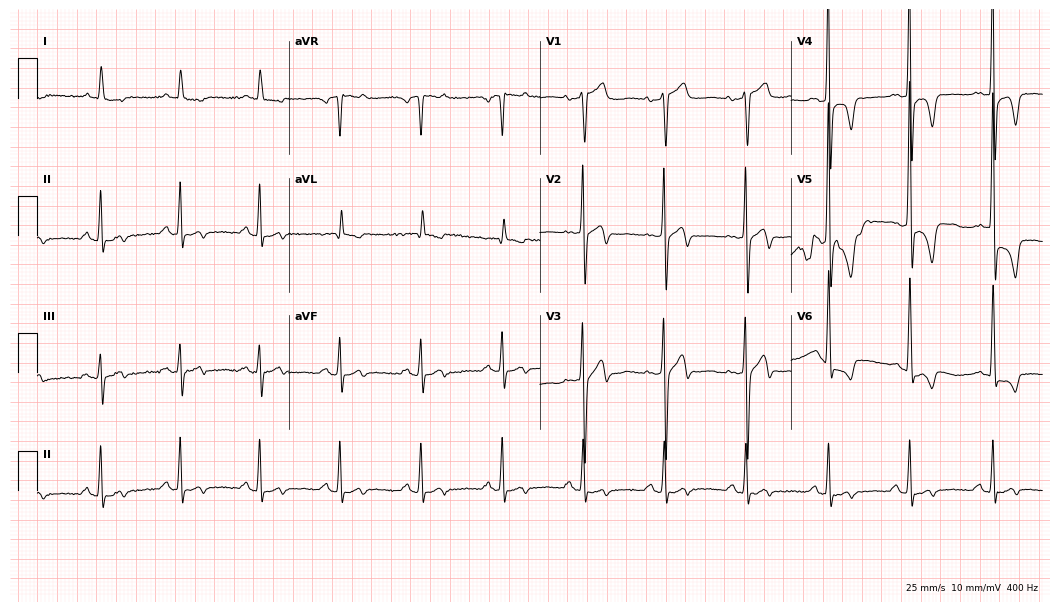
12-lead ECG (10.2-second recording at 400 Hz) from a 75-year-old male. Screened for six findings — first-degree AV block, right bundle branch block, left bundle branch block, sinus bradycardia, atrial fibrillation, sinus tachycardia — none is recorded. Other findings, if any, are not listed.